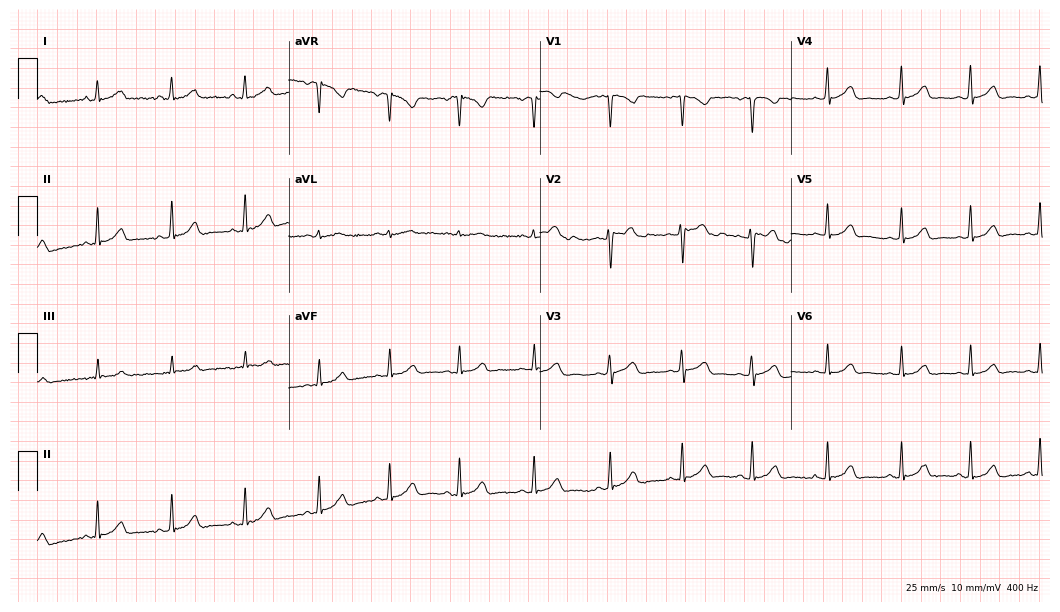
ECG — a 19-year-old female patient. Labelled as a normal ECG.